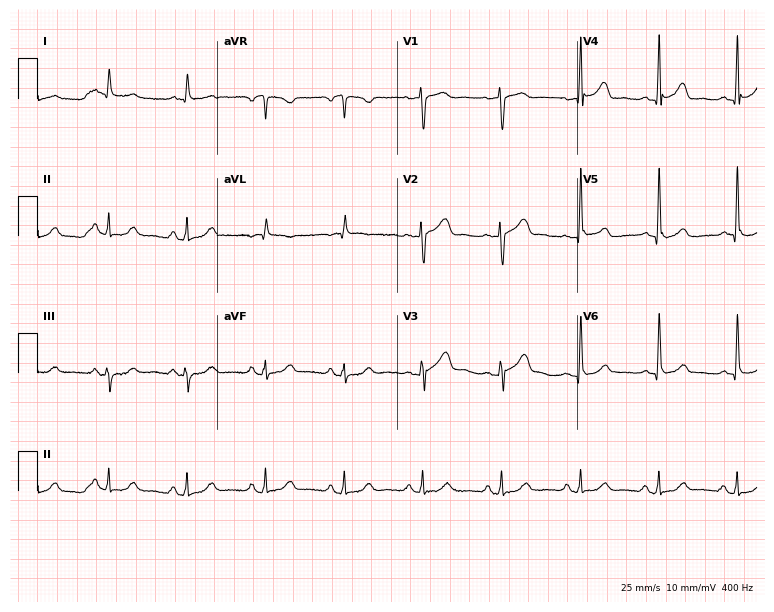
Standard 12-lead ECG recorded from an 80-year-old male patient. Read as a normal ECG.